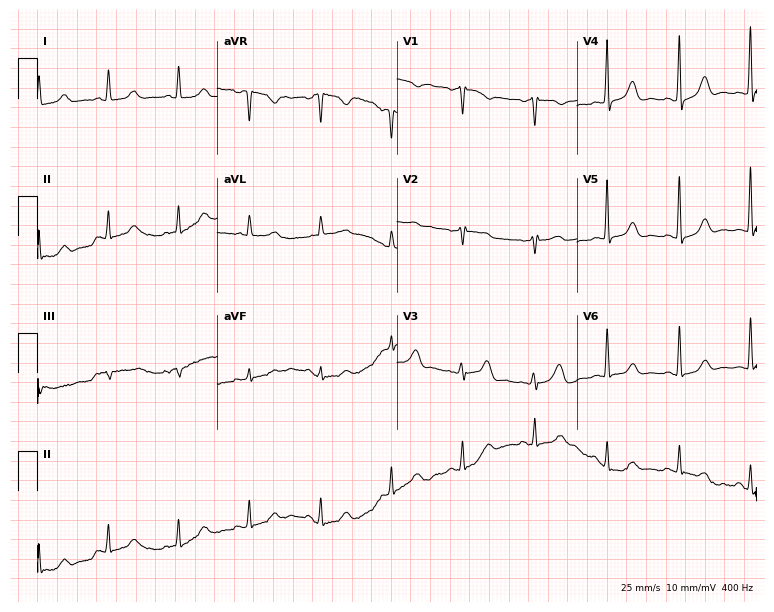
12-lead ECG from a female patient, 57 years old. No first-degree AV block, right bundle branch block, left bundle branch block, sinus bradycardia, atrial fibrillation or sinus tachycardia recorded for this tracing. Only these six findings were labelled.